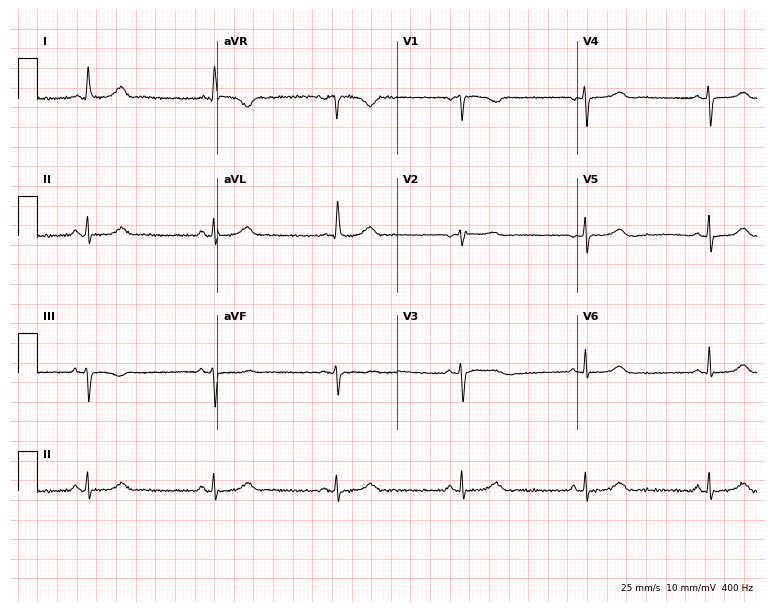
Resting 12-lead electrocardiogram. Patient: an 81-year-old woman. None of these six findings is recorded: first-degree AV block, right bundle branch block (RBBB), left bundle branch block (LBBB), sinus bradycardia, atrial fibrillation (AF), sinus tachycardia. Only these six findings were labelled.